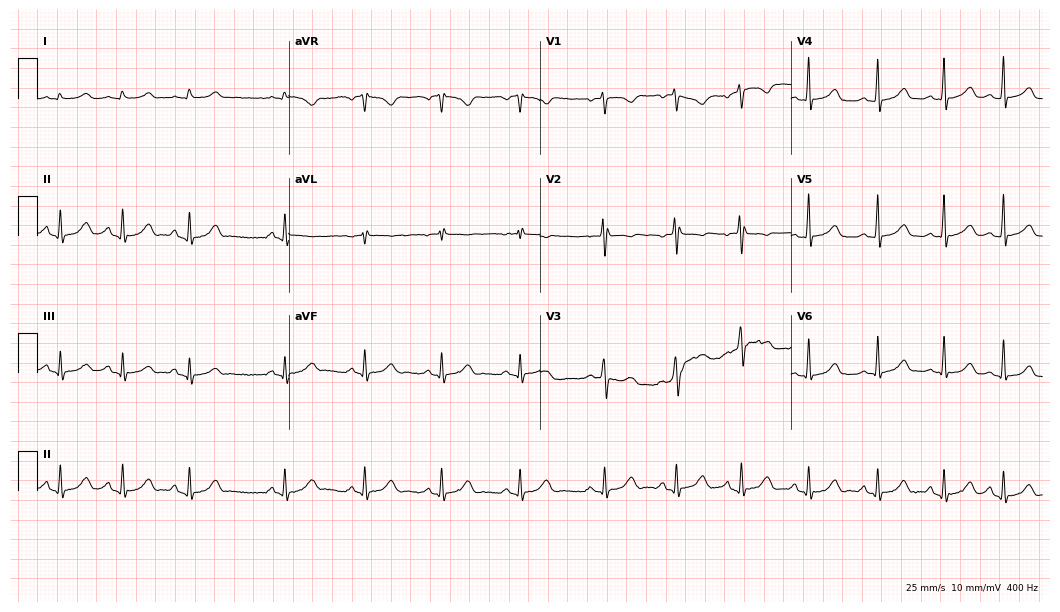
Electrocardiogram, an 18-year-old female. Overall reading on record: normal ECG.